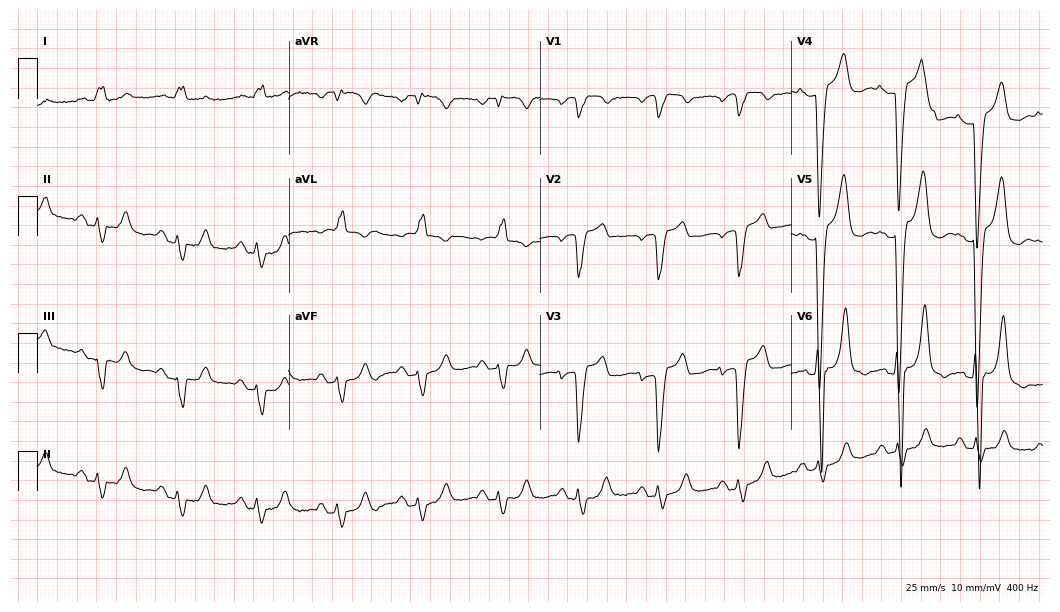
Resting 12-lead electrocardiogram. Patient: a woman, 81 years old. The tracing shows left bundle branch block.